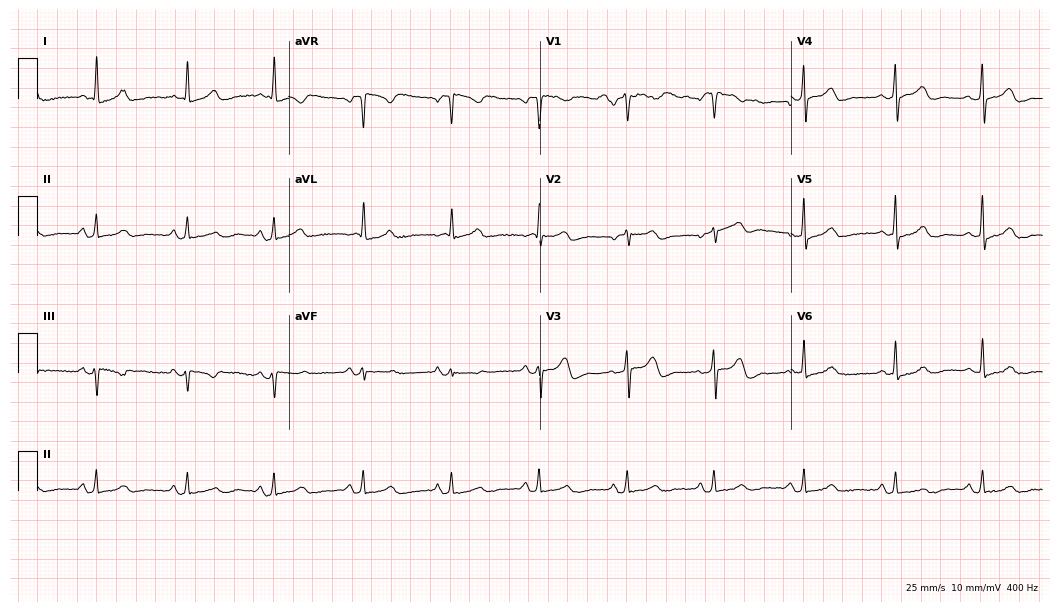
Electrocardiogram (10.2-second recording at 400 Hz), a 53-year-old female patient. Overall reading on record: normal ECG.